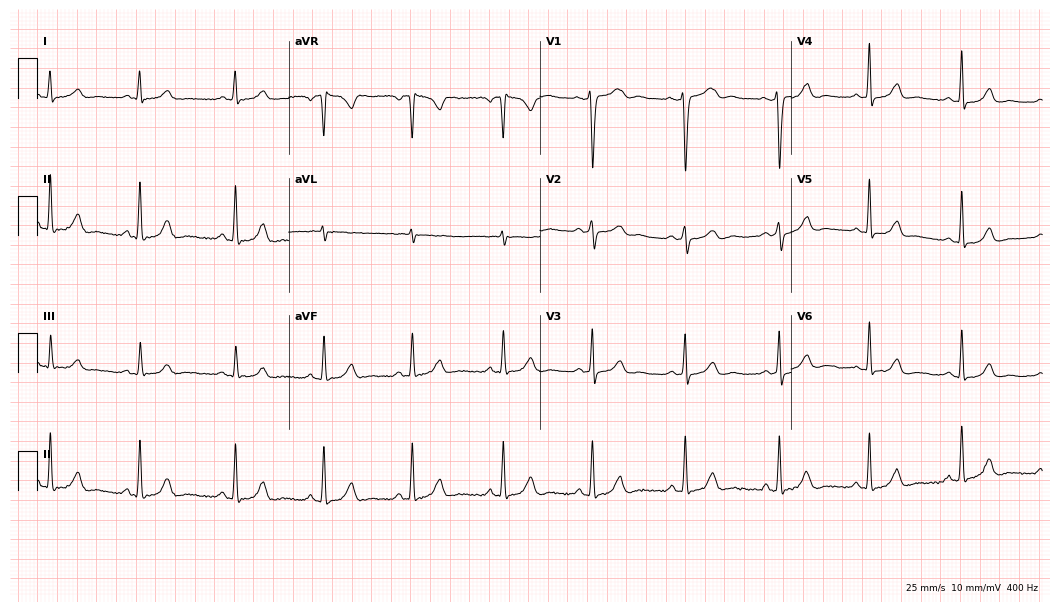
12-lead ECG from a 33-year-old woman. Labelled as a normal ECG.